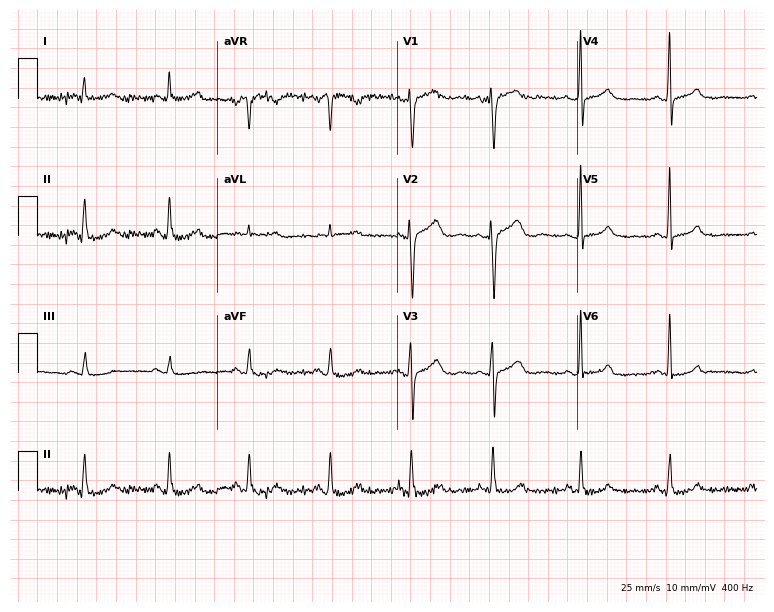
Electrocardiogram (7.3-second recording at 400 Hz), a 60-year-old female. Of the six screened findings (first-degree AV block, right bundle branch block, left bundle branch block, sinus bradycardia, atrial fibrillation, sinus tachycardia), none is recorded.